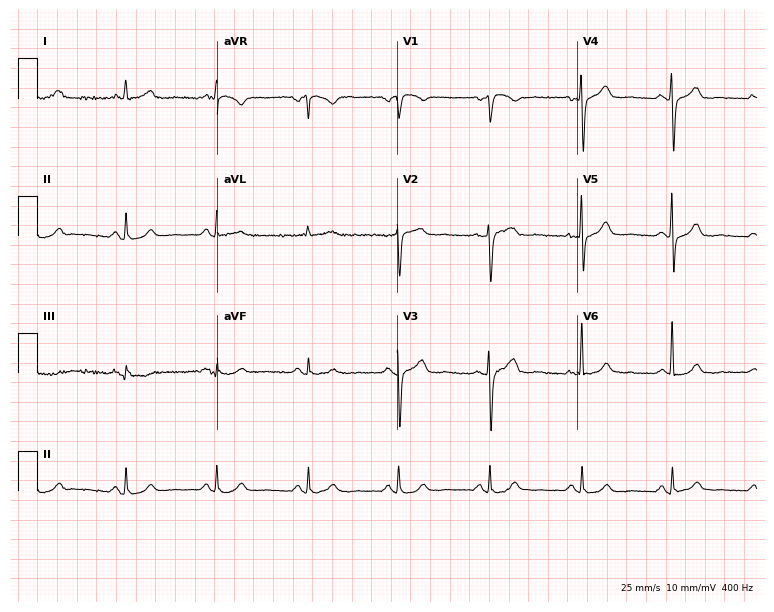
Electrocardiogram, a 77-year-old woman. Of the six screened findings (first-degree AV block, right bundle branch block (RBBB), left bundle branch block (LBBB), sinus bradycardia, atrial fibrillation (AF), sinus tachycardia), none is recorded. Only these six findings were labelled.